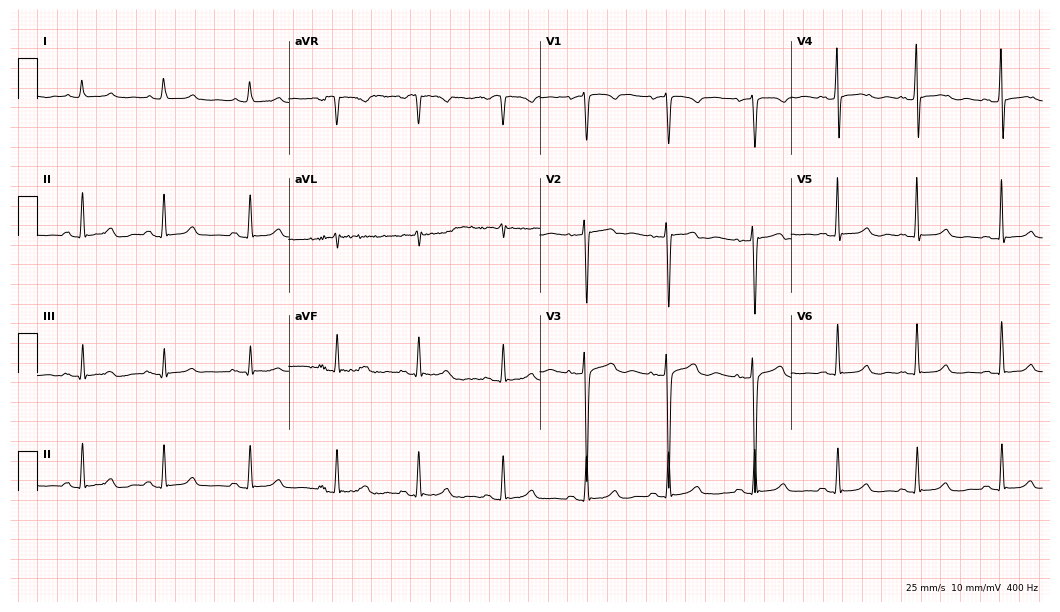
12-lead ECG from a 29-year-old woman (10.2-second recording at 400 Hz). Recorded interpretation: within normal limits.